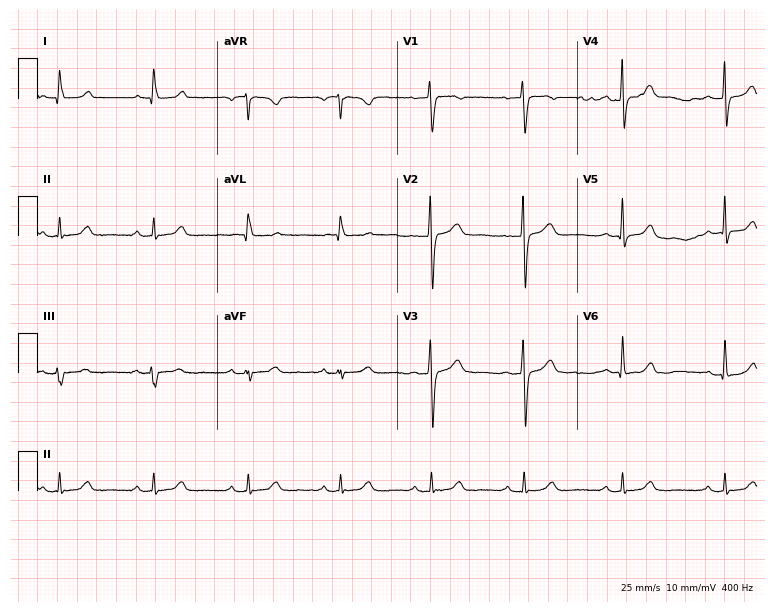
12-lead ECG (7.3-second recording at 400 Hz) from a female, 52 years old. Screened for six findings — first-degree AV block, right bundle branch block (RBBB), left bundle branch block (LBBB), sinus bradycardia, atrial fibrillation (AF), sinus tachycardia — none is recorded. Only these six findings were labelled.